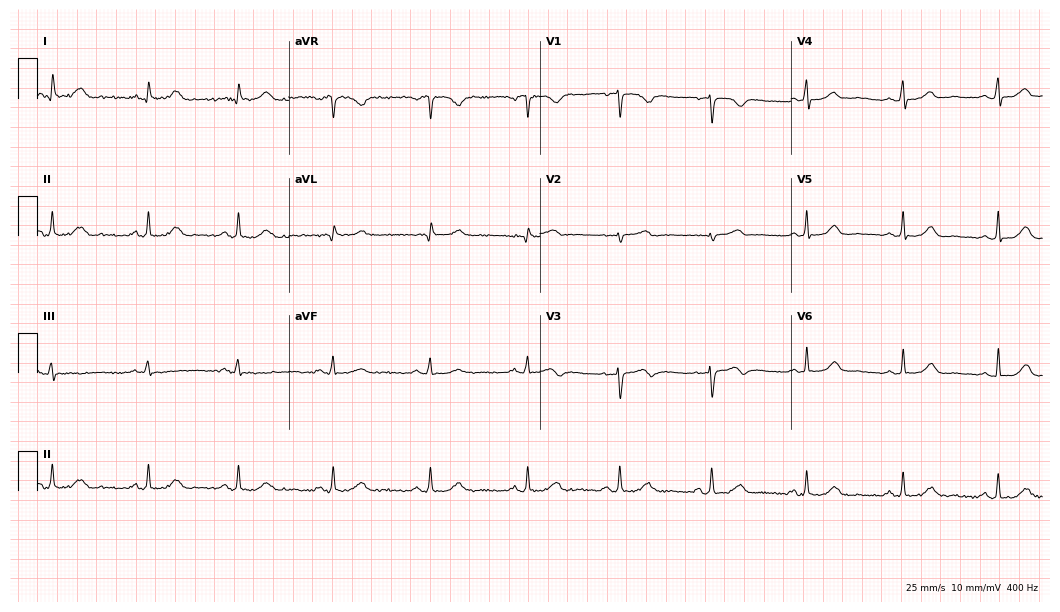
Electrocardiogram (10.2-second recording at 400 Hz), a woman, 42 years old. Overall reading on record: normal ECG.